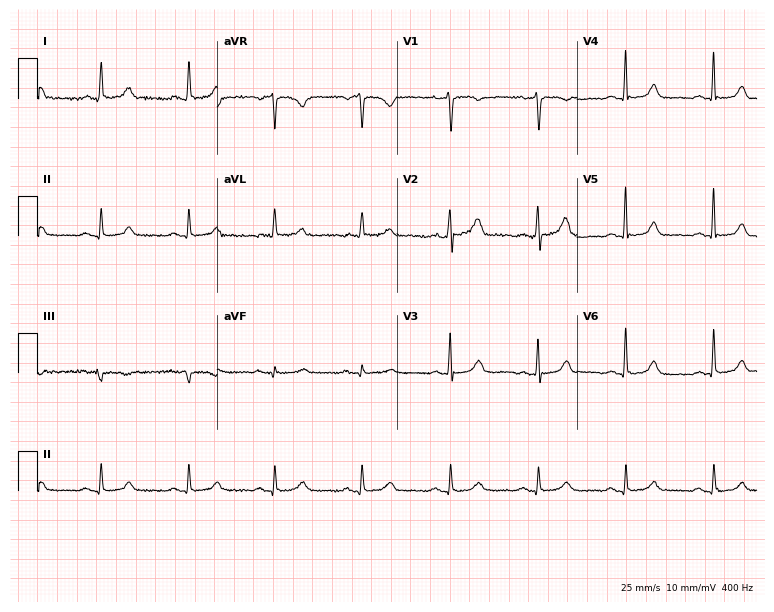
12-lead ECG from a 70-year-old woman. Recorded interpretation: within normal limits.